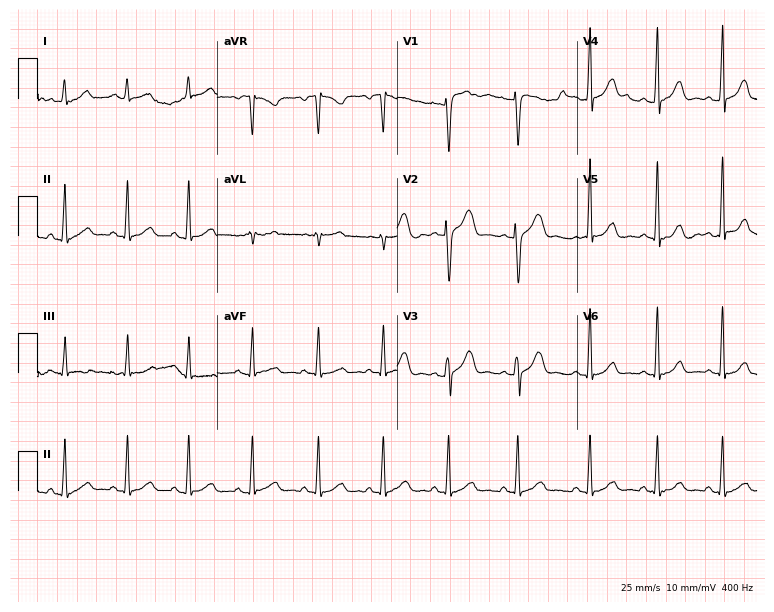
Standard 12-lead ECG recorded from a 20-year-old female. Read as a normal ECG.